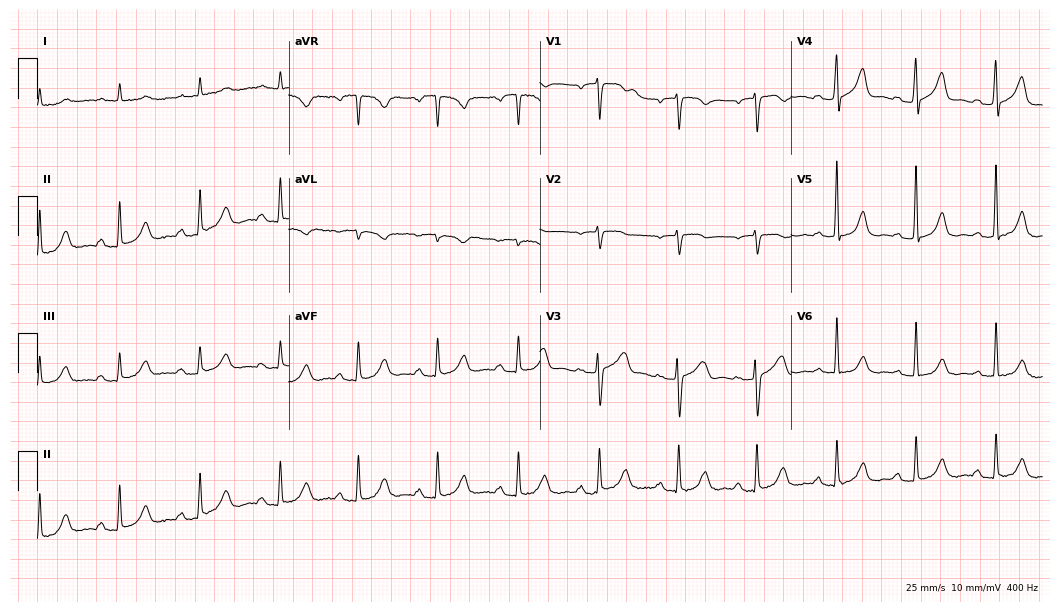
12-lead ECG from an 84-year-old woman (10.2-second recording at 400 Hz). Recorded interpretation: within normal limits.